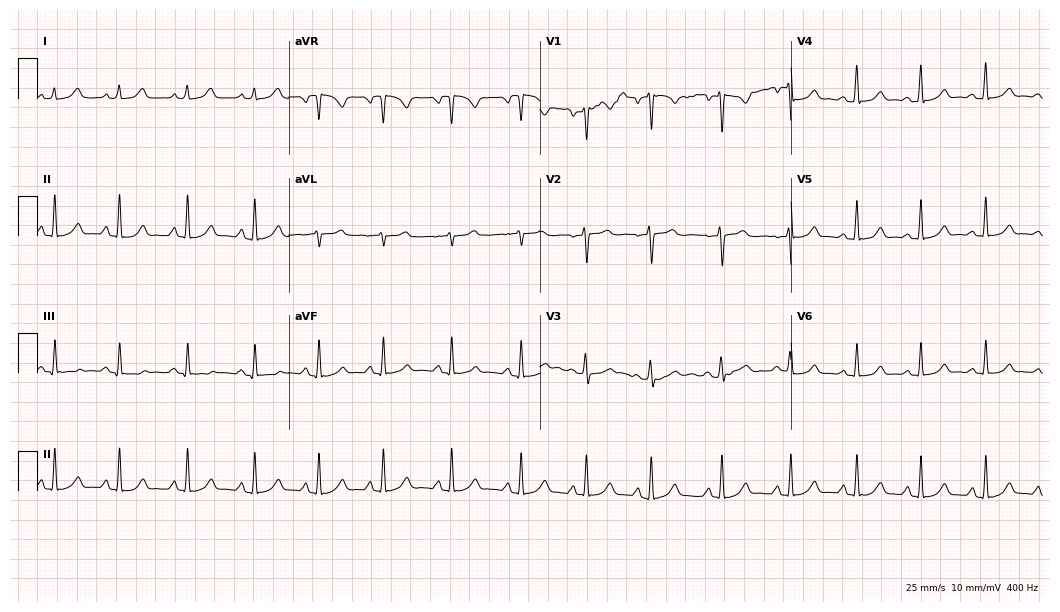
ECG (10.2-second recording at 400 Hz) — a female, 33 years old. Labelled as a normal ECG.